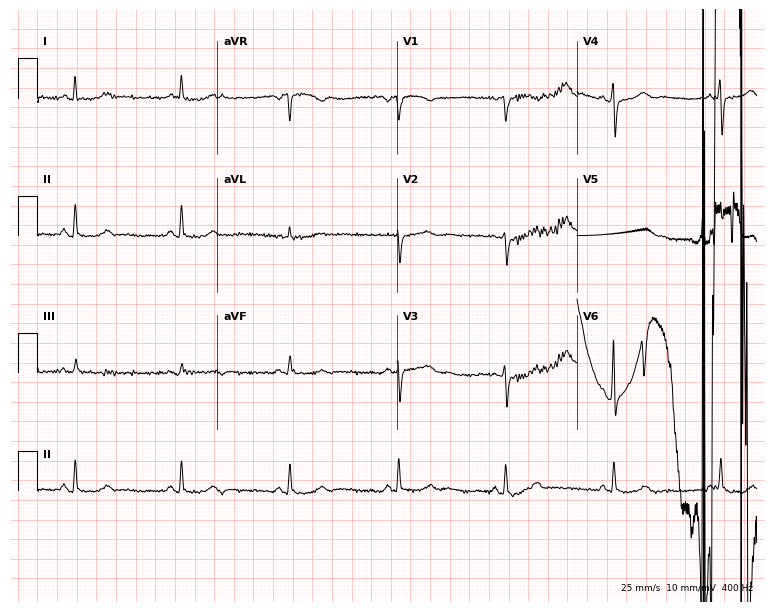
12-lead ECG from a 75-year-old female. No first-degree AV block, right bundle branch block, left bundle branch block, sinus bradycardia, atrial fibrillation or sinus tachycardia recorded for this tracing. Only these six findings were labelled.